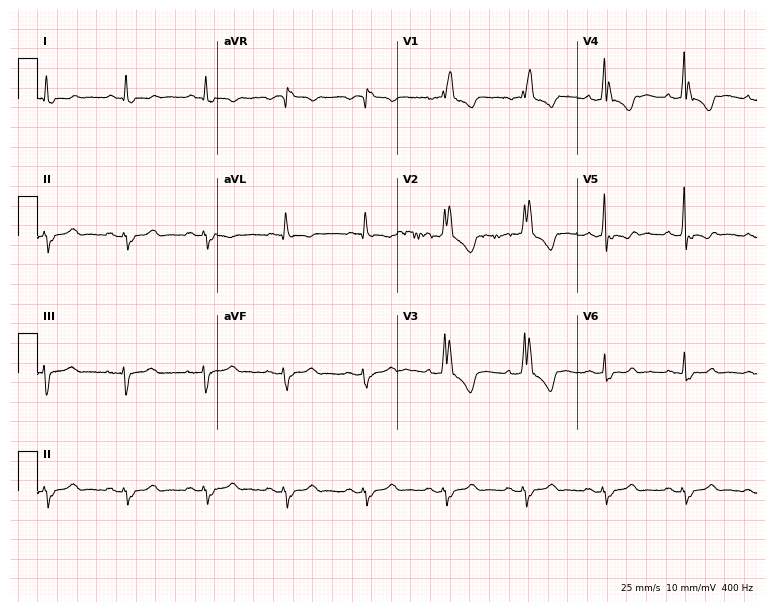
Standard 12-lead ECG recorded from a 75-year-old male (7.3-second recording at 400 Hz). The tracing shows right bundle branch block.